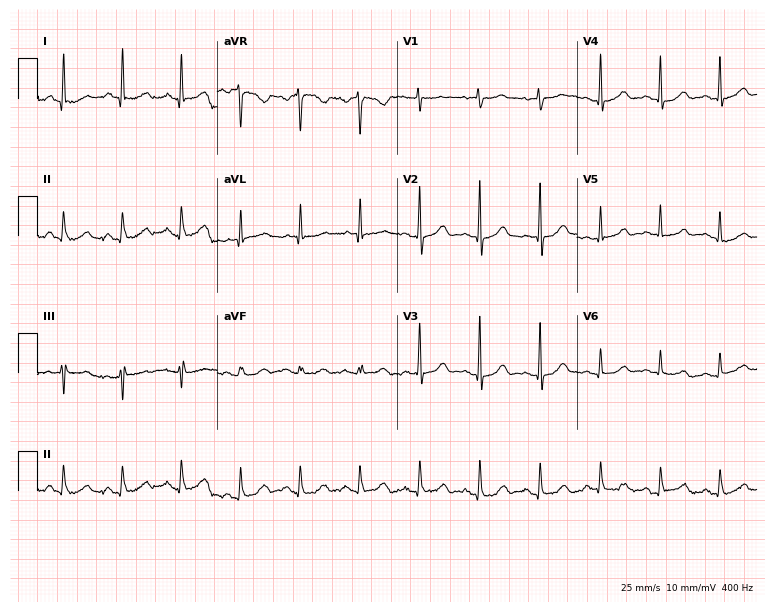
Resting 12-lead electrocardiogram (7.3-second recording at 400 Hz). Patient: a woman, 59 years old. Read as a normal ECG.